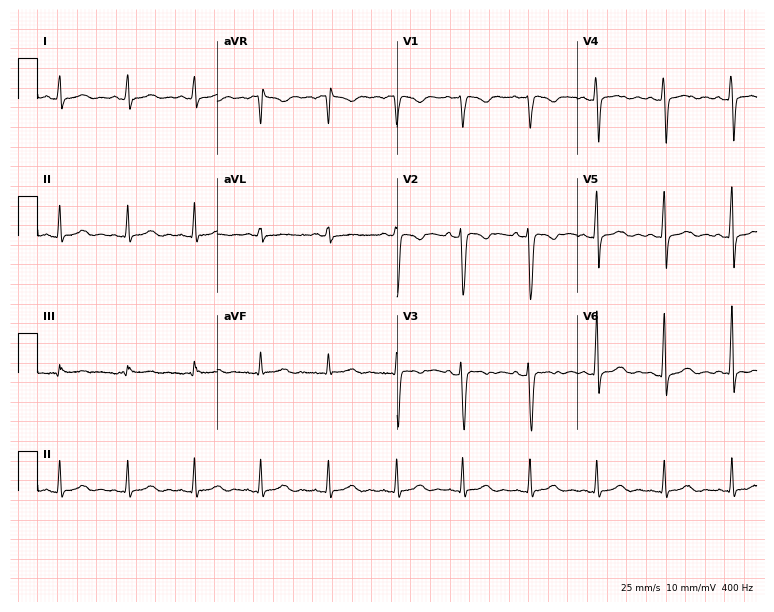
ECG (7.3-second recording at 400 Hz) — a 33-year-old female patient. Screened for six findings — first-degree AV block, right bundle branch block, left bundle branch block, sinus bradycardia, atrial fibrillation, sinus tachycardia — none is recorded. Findings outside these six are not listed.